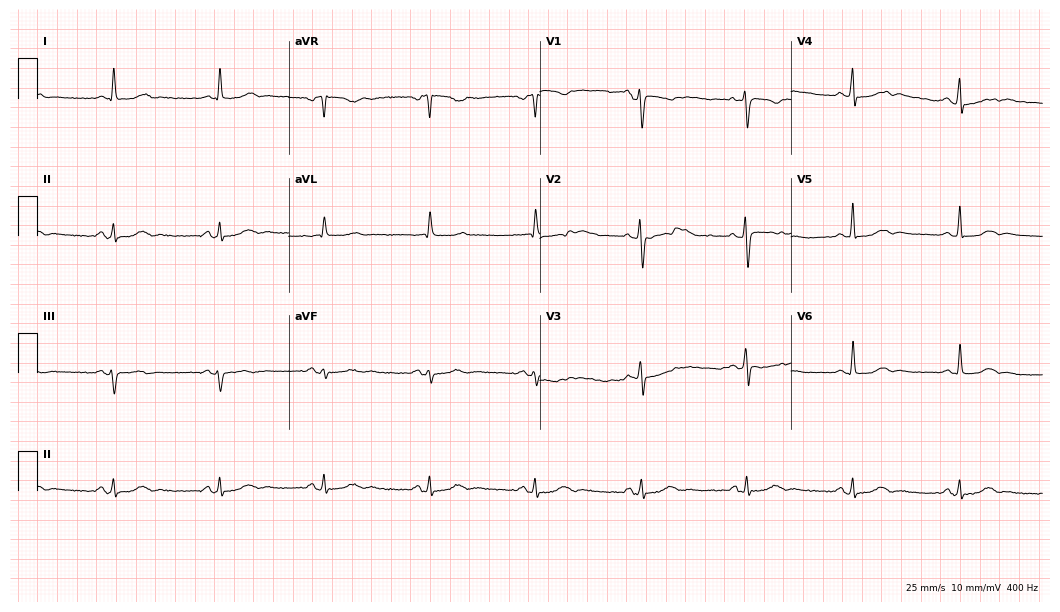
12-lead ECG (10.2-second recording at 400 Hz) from a female, 57 years old. Labelled as a normal ECG.